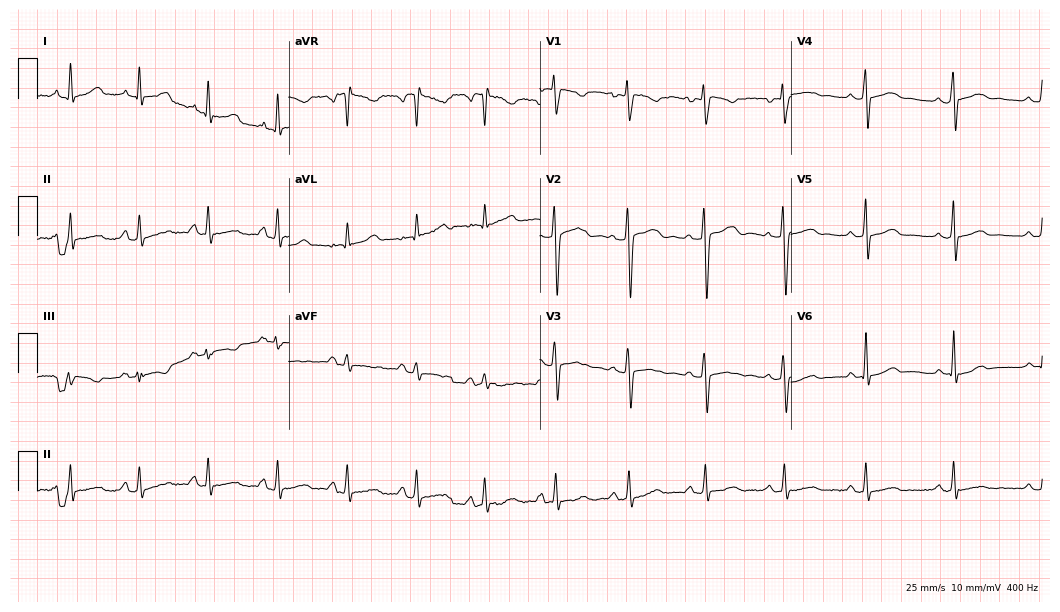
Standard 12-lead ECG recorded from a 35-year-old female patient. Read as a normal ECG.